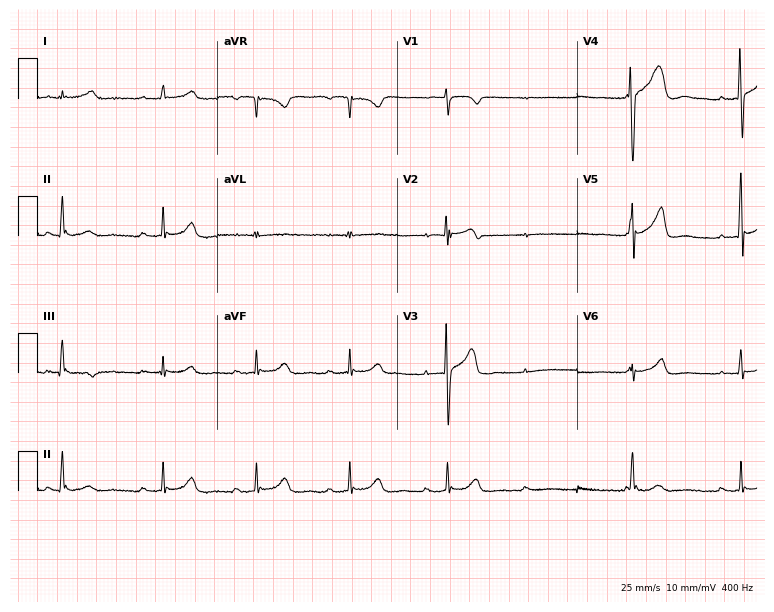
Electrocardiogram (7.3-second recording at 400 Hz), a 50-year-old male patient. Overall reading on record: normal ECG.